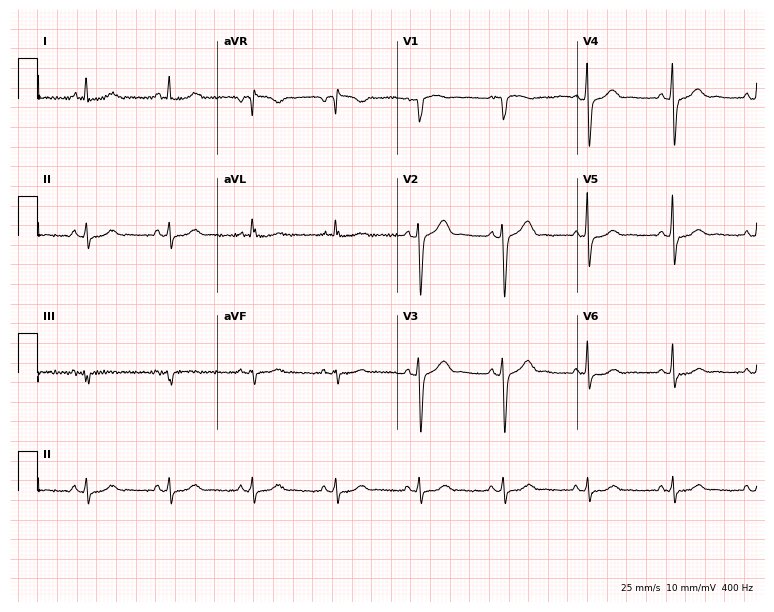
Resting 12-lead electrocardiogram. Patient: a man, 67 years old. Read as a normal ECG.